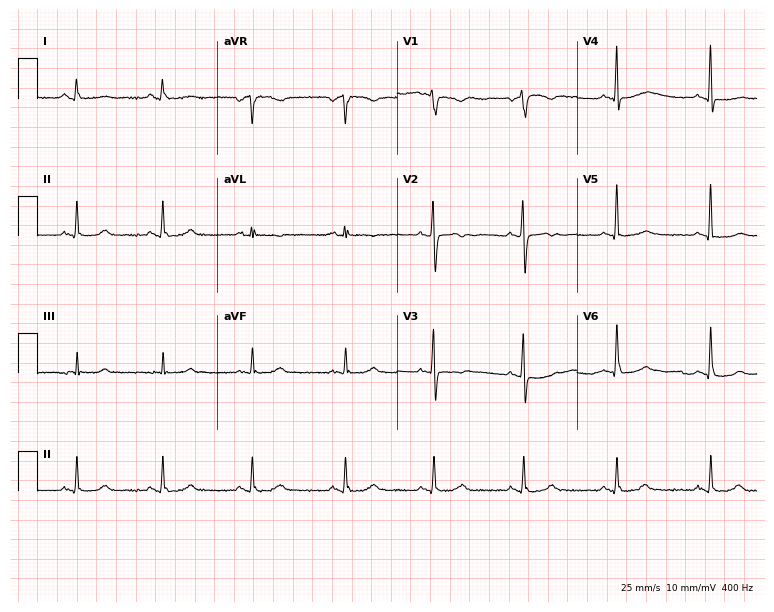
12-lead ECG from a 50-year-old female (7.3-second recording at 400 Hz). No first-degree AV block, right bundle branch block (RBBB), left bundle branch block (LBBB), sinus bradycardia, atrial fibrillation (AF) or sinus tachycardia recorded for this tracing. Only these six findings were labelled.